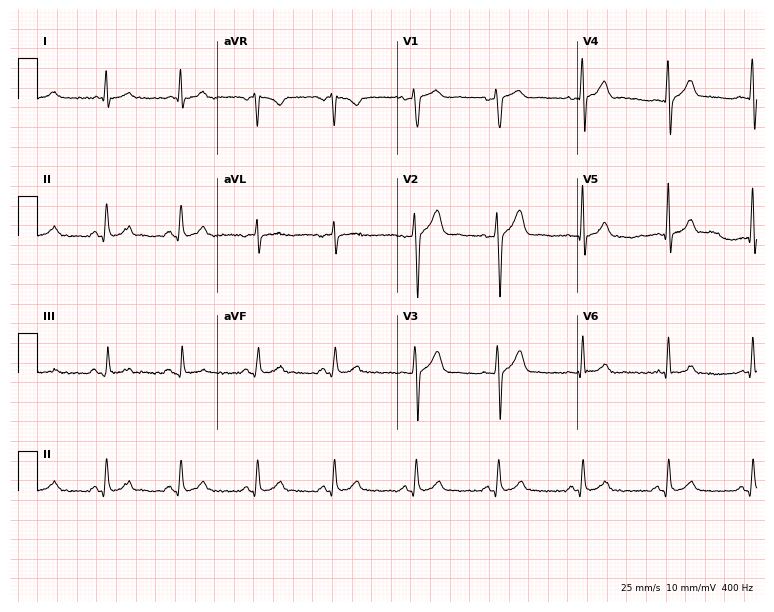
12-lead ECG from a 28-year-old male. No first-degree AV block, right bundle branch block, left bundle branch block, sinus bradycardia, atrial fibrillation or sinus tachycardia recorded for this tracing. Other findings, if any, are not listed.